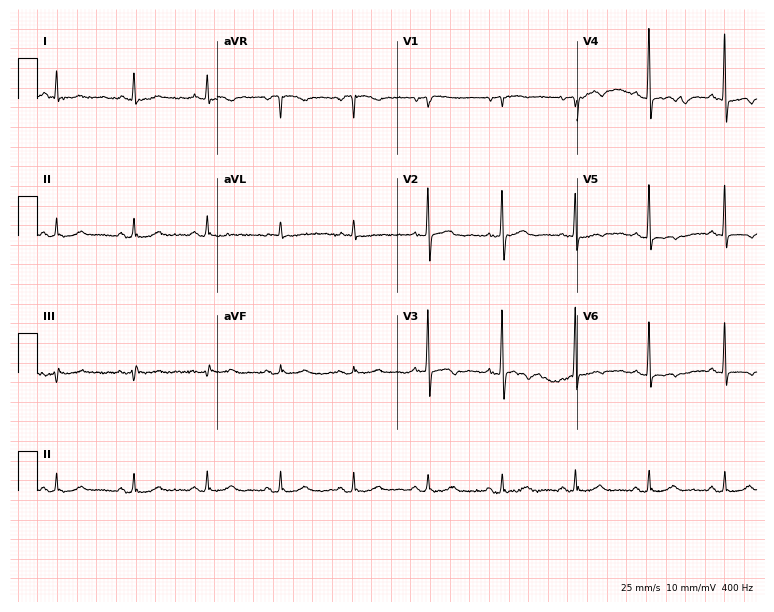
Resting 12-lead electrocardiogram (7.3-second recording at 400 Hz). Patient: a 72-year-old female. None of these six findings is recorded: first-degree AV block, right bundle branch block (RBBB), left bundle branch block (LBBB), sinus bradycardia, atrial fibrillation (AF), sinus tachycardia. Other findings, if any, are not listed.